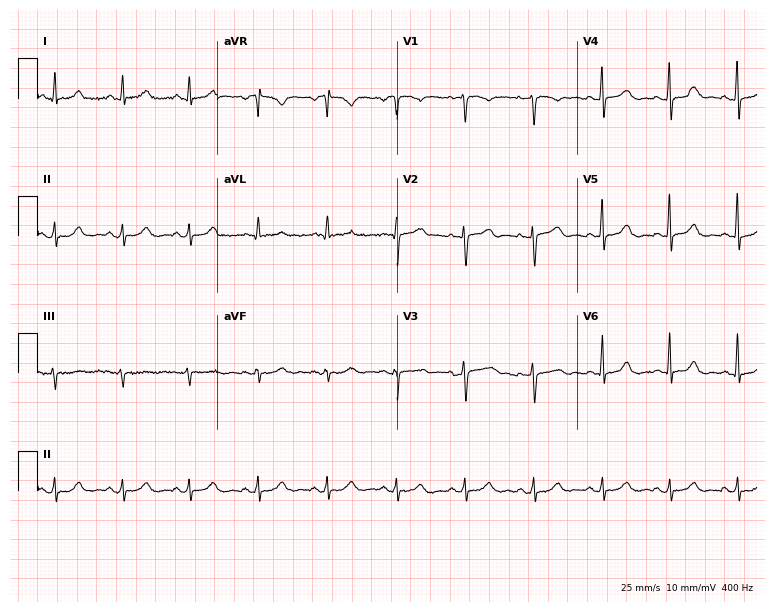
Electrocardiogram (7.3-second recording at 400 Hz), a 45-year-old female. Overall reading on record: normal ECG.